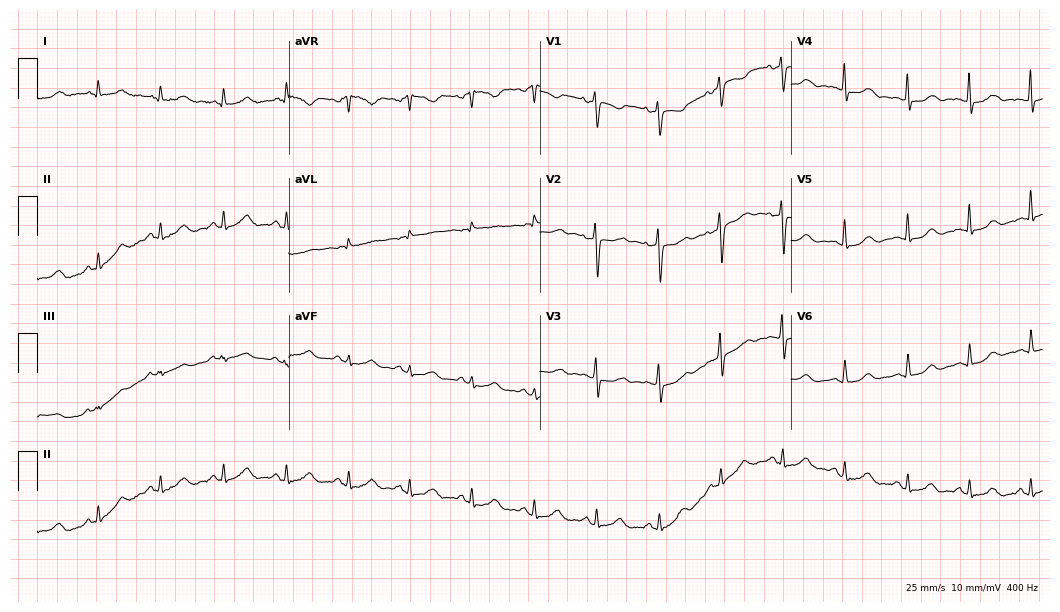
Electrocardiogram, a 41-year-old female. Overall reading on record: normal ECG.